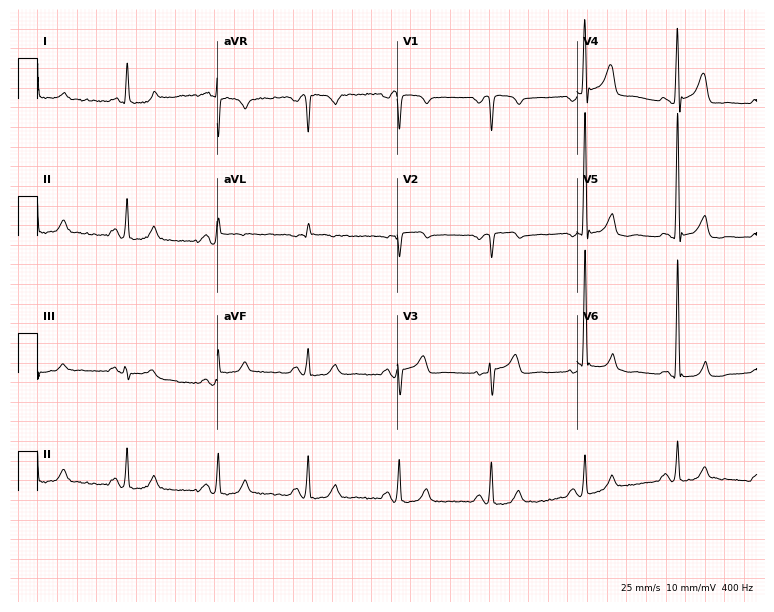
ECG (7.3-second recording at 400 Hz) — a 57-year-old male patient. Screened for six findings — first-degree AV block, right bundle branch block (RBBB), left bundle branch block (LBBB), sinus bradycardia, atrial fibrillation (AF), sinus tachycardia — none is recorded.